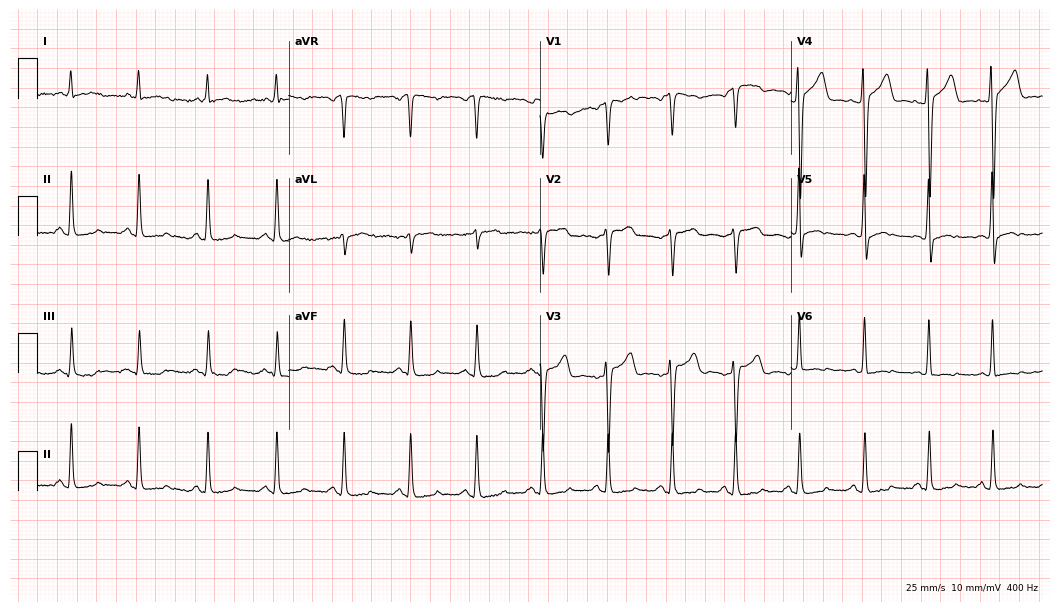
ECG — a 50-year-old male. Screened for six findings — first-degree AV block, right bundle branch block (RBBB), left bundle branch block (LBBB), sinus bradycardia, atrial fibrillation (AF), sinus tachycardia — none is recorded. Only these six findings were labelled.